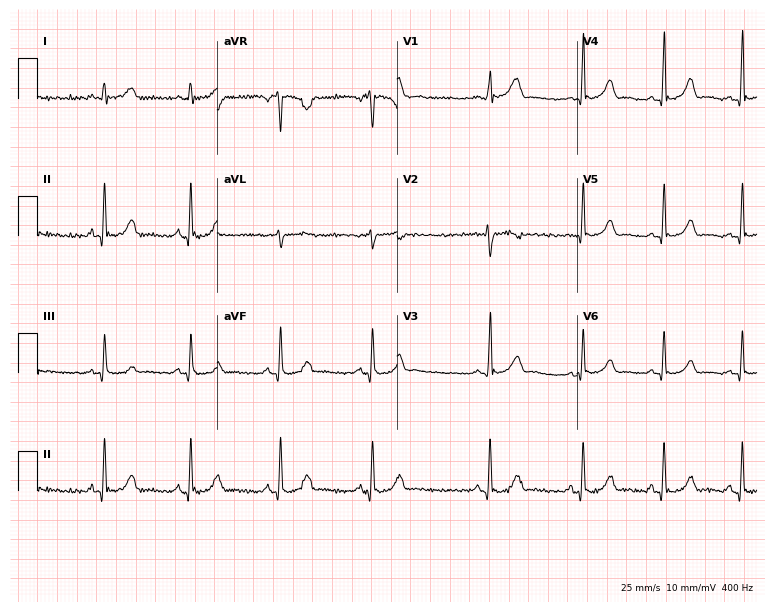
ECG (7.3-second recording at 400 Hz) — a 37-year-old female. Screened for six findings — first-degree AV block, right bundle branch block, left bundle branch block, sinus bradycardia, atrial fibrillation, sinus tachycardia — none is recorded.